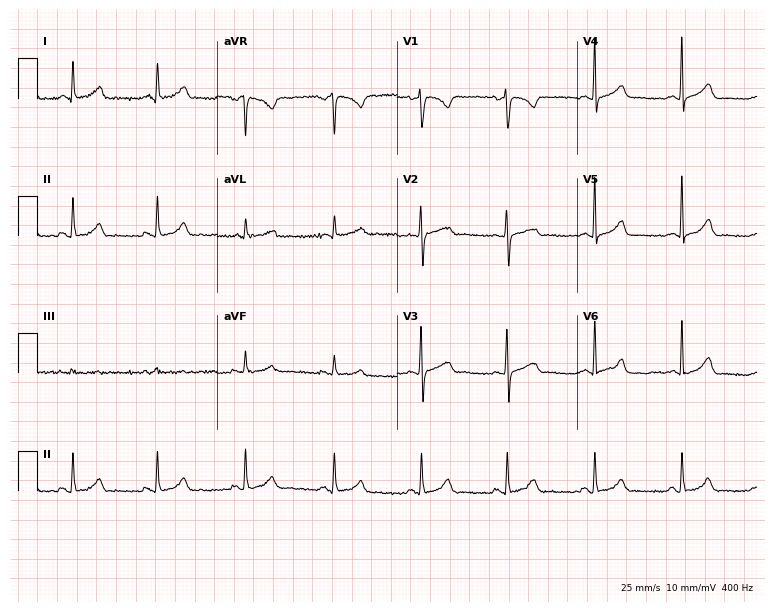
Standard 12-lead ECG recorded from a 41-year-old woman. Read as a normal ECG.